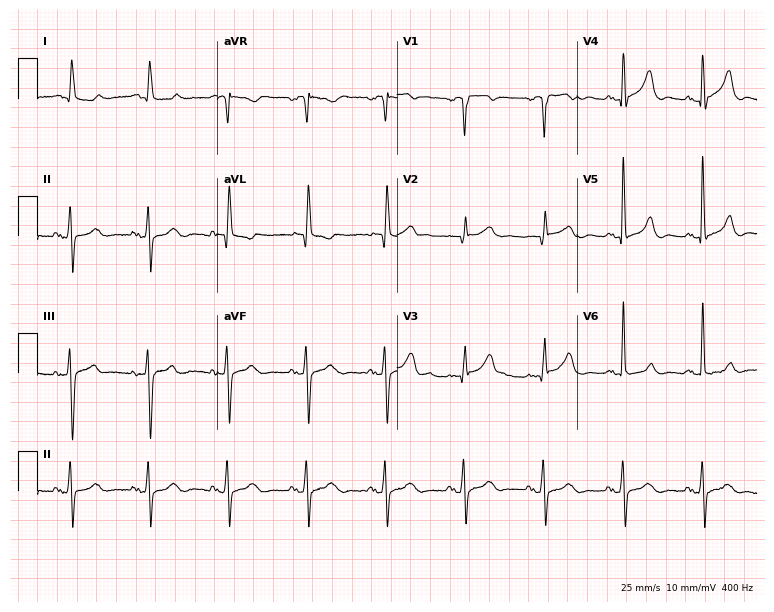
Resting 12-lead electrocardiogram. Patient: a male, 76 years old. None of these six findings is recorded: first-degree AV block, right bundle branch block, left bundle branch block, sinus bradycardia, atrial fibrillation, sinus tachycardia.